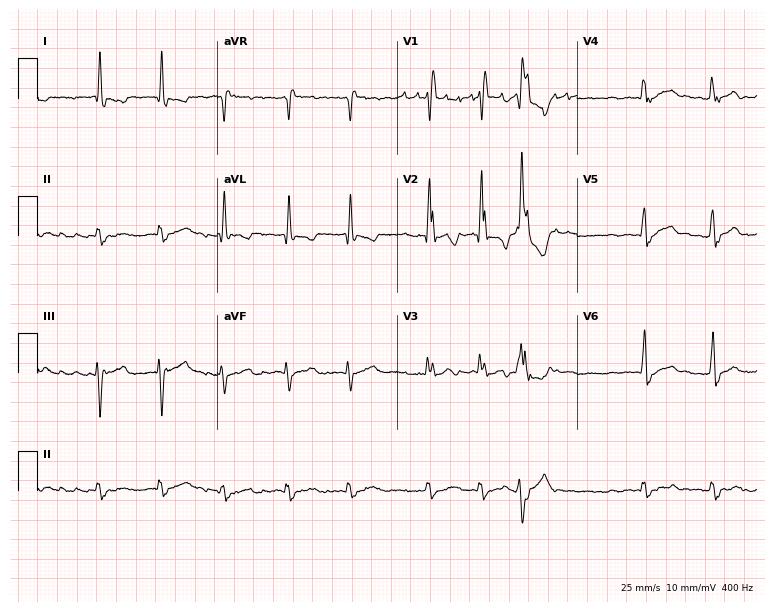
Resting 12-lead electrocardiogram. Patient: a man, 80 years old. The tracing shows right bundle branch block, atrial fibrillation.